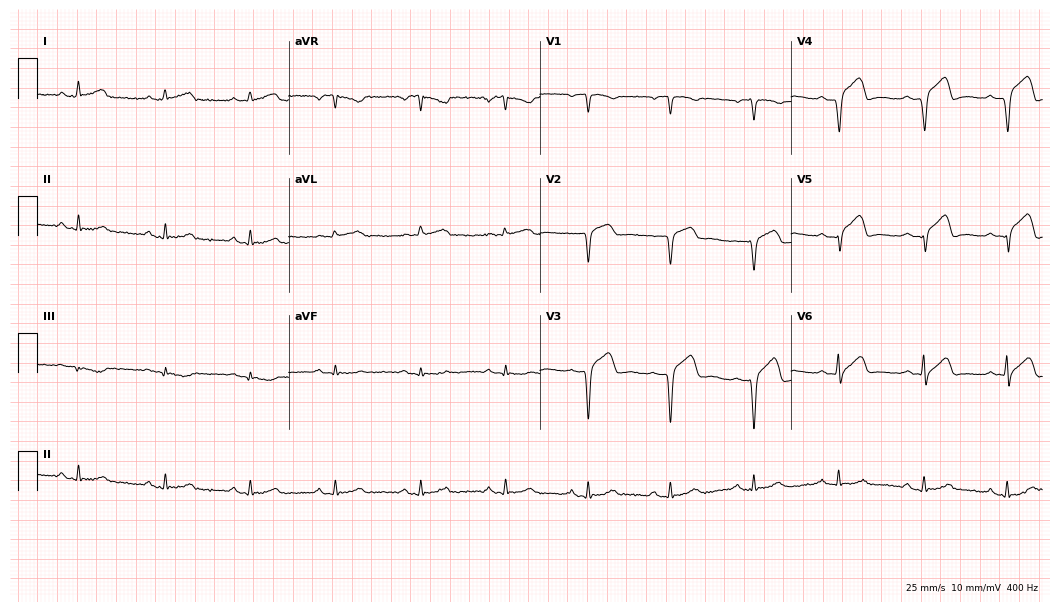
ECG — a man, 53 years old. Screened for six findings — first-degree AV block, right bundle branch block (RBBB), left bundle branch block (LBBB), sinus bradycardia, atrial fibrillation (AF), sinus tachycardia — none is recorded. Findings outside these six are not listed.